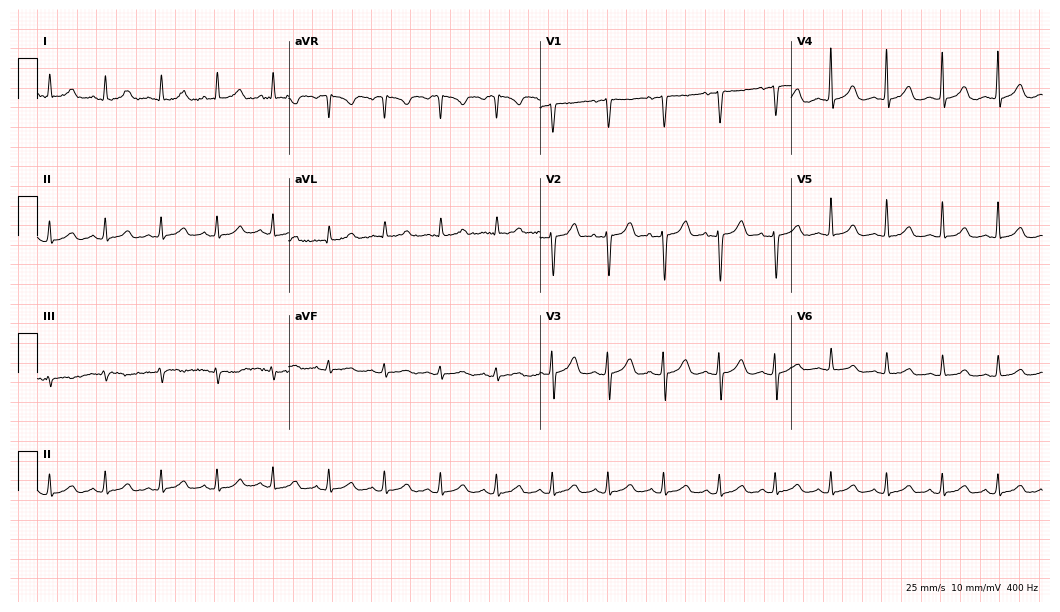
12-lead ECG (10.2-second recording at 400 Hz) from a 62-year-old female. Findings include sinus tachycardia (a sinus rate of 100 beats per minute or more).